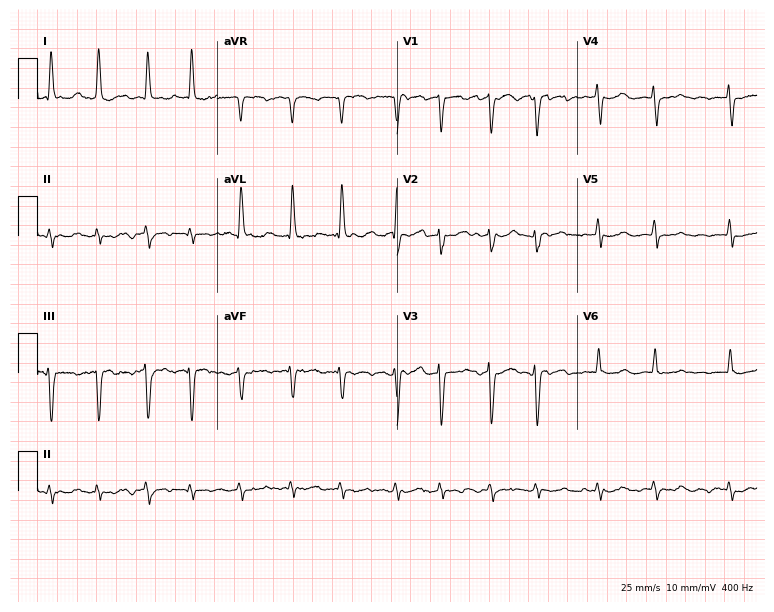
Electrocardiogram, a female patient, 69 years old. Interpretation includes atrial fibrillation (AF).